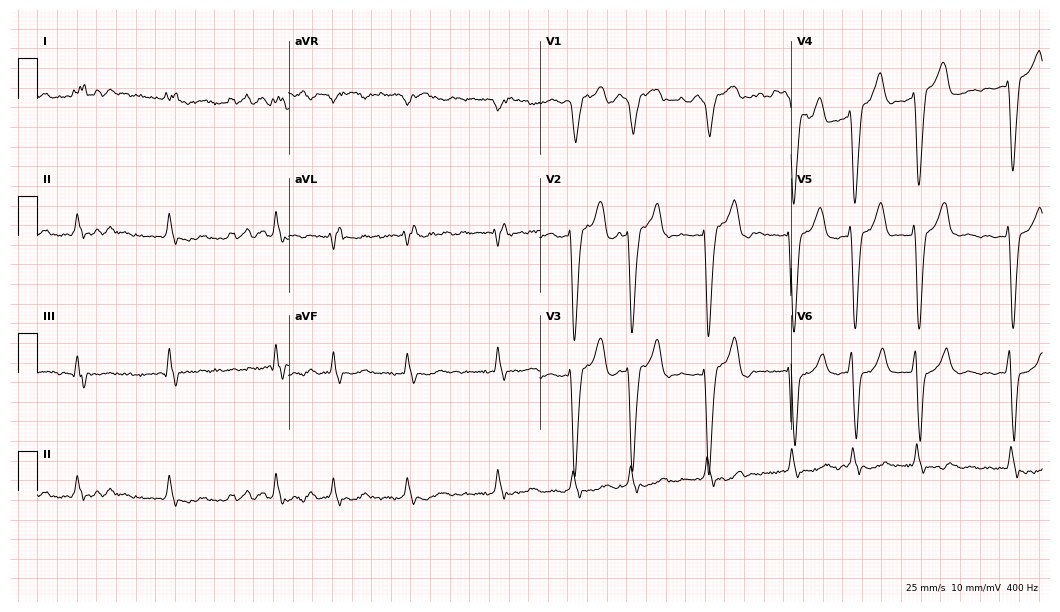
Resting 12-lead electrocardiogram (10.2-second recording at 400 Hz). Patient: a male, 78 years old. The tracing shows left bundle branch block, atrial fibrillation.